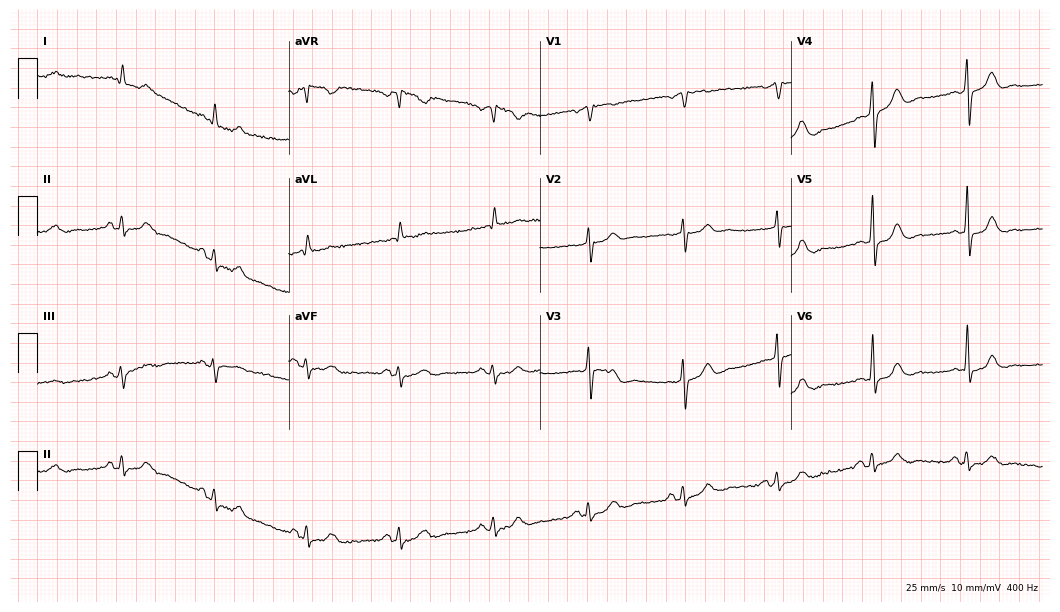
12-lead ECG from a man, 63 years old. Labelled as a normal ECG.